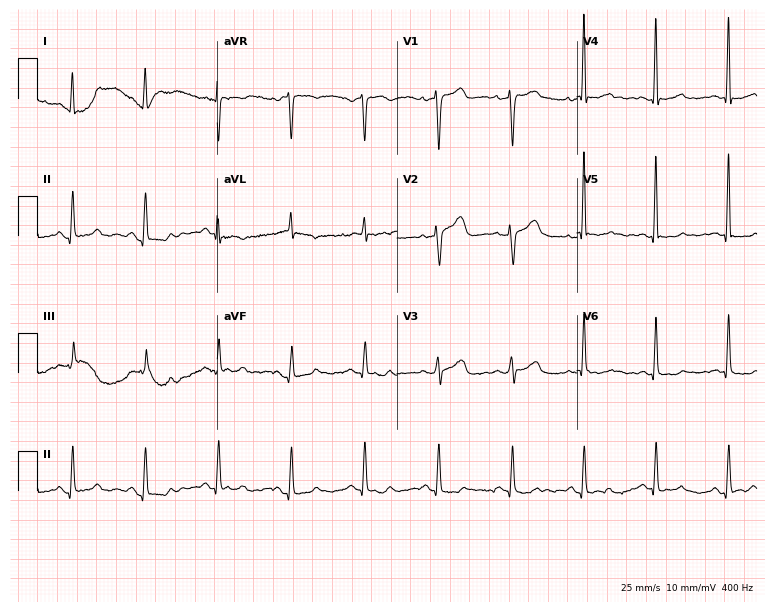
ECG (7.3-second recording at 400 Hz) — a 46-year-old woman. Screened for six findings — first-degree AV block, right bundle branch block, left bundle branch block, sinus bradycardia, atrial fibrillation, sinus tachycardia — none is recorded.